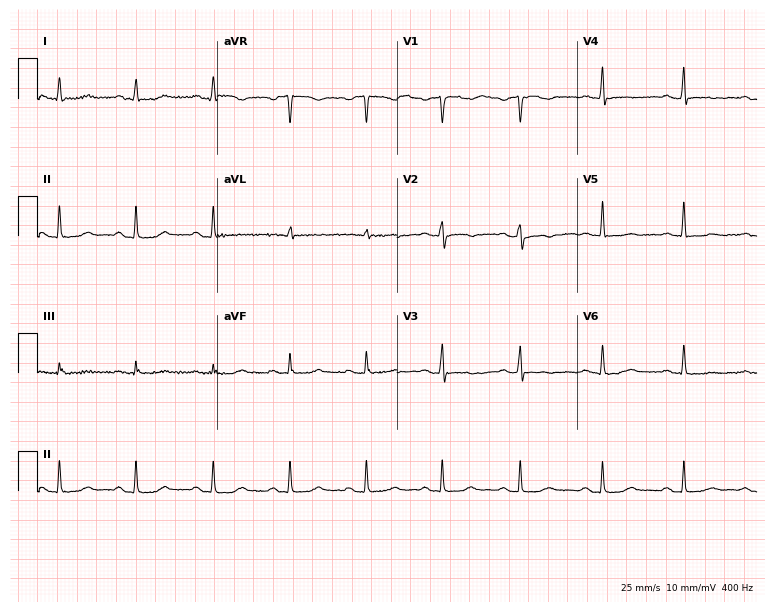
ECG (7.3-second recording at 400 Hz) — a woman, 47 years old. Screened for six findings — first-degree AV block, right bundle branch block, left bundle branch block, sinus bradycardia, atrial fibrillation, sinus tachycardia — none is recorded. Findings outside these six are not listed.